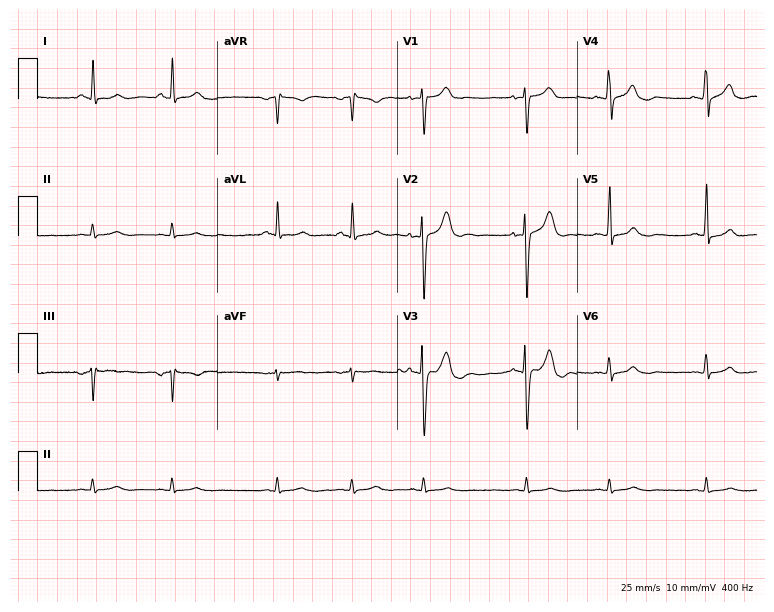
Resting 12-lead electrocardiogram. Patient: a female, 25 years old. None of these six findings is recorded: first-degree AV block, right bundle branch block, left bundle branch block, sinus bradycardia, atrial fibrillation, sinus tachycardia. Findings outside these six are not listed.